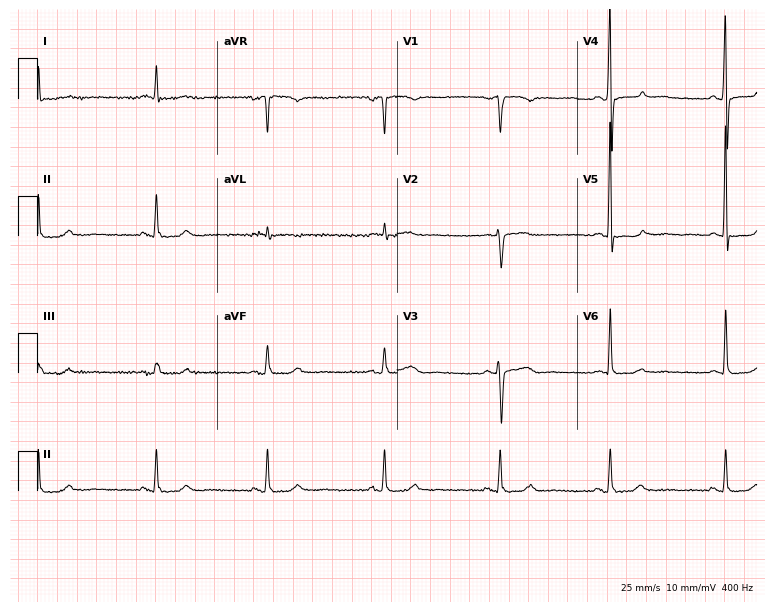
12-lead ECG from a female patient, 27 years old (7.3-second recording at 400 Hz). Recorded interpretation: within normal limits.